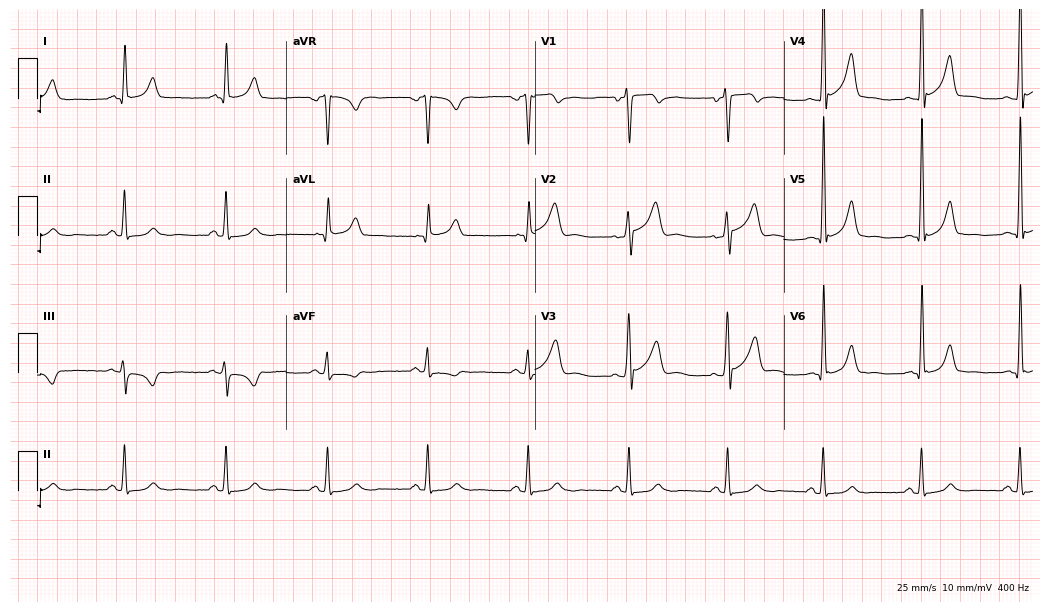
12-lead ECG from a 48-year-old man (10.1-second recording at 400 Hz). Recorded interpretation: within normal limits.